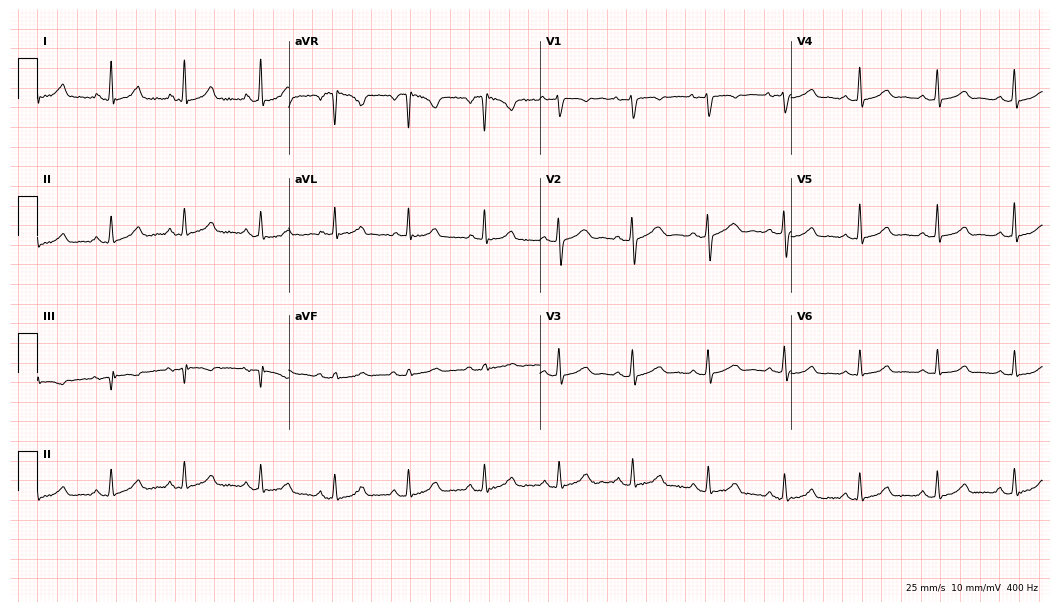
12-lead ECG (10.2-second recording at 400 Hz) from a 33-year-old female. Labelled as a normal ECG.